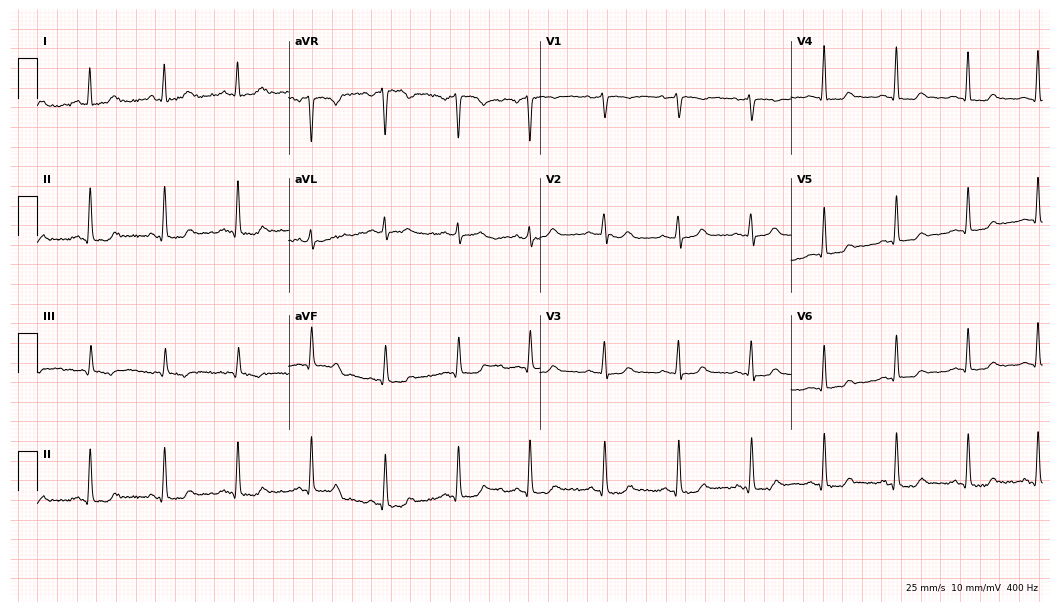
Standard 12-lead ECG recorded from a 43-year-old female. None of these six findings is recorded: first-degree AV block, right bundle branch block, left bundle branch block, sinus bradycardia, atrial fibrillation, sinus tachycardia. Findings outside these six are not listed.